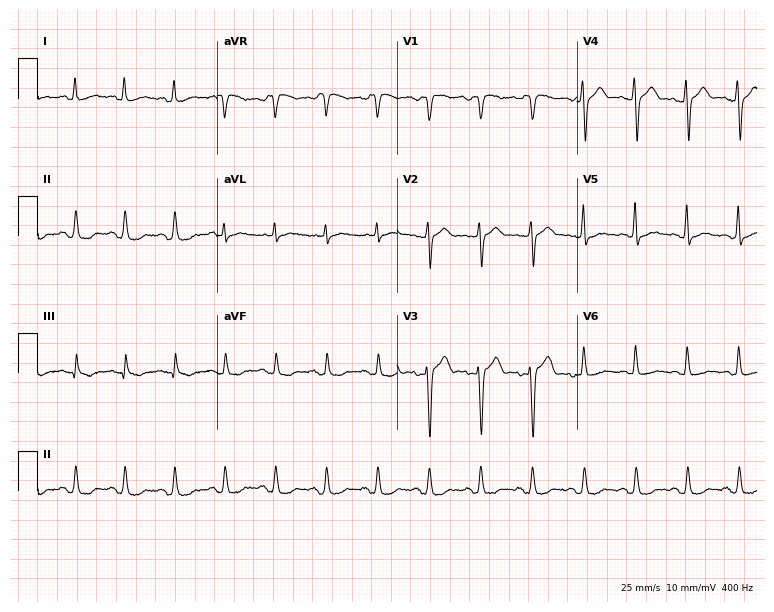
ECG — a male, 52 years old. Findings include sinus tachycardia (a sinus rate of 100 beats per minute or more).